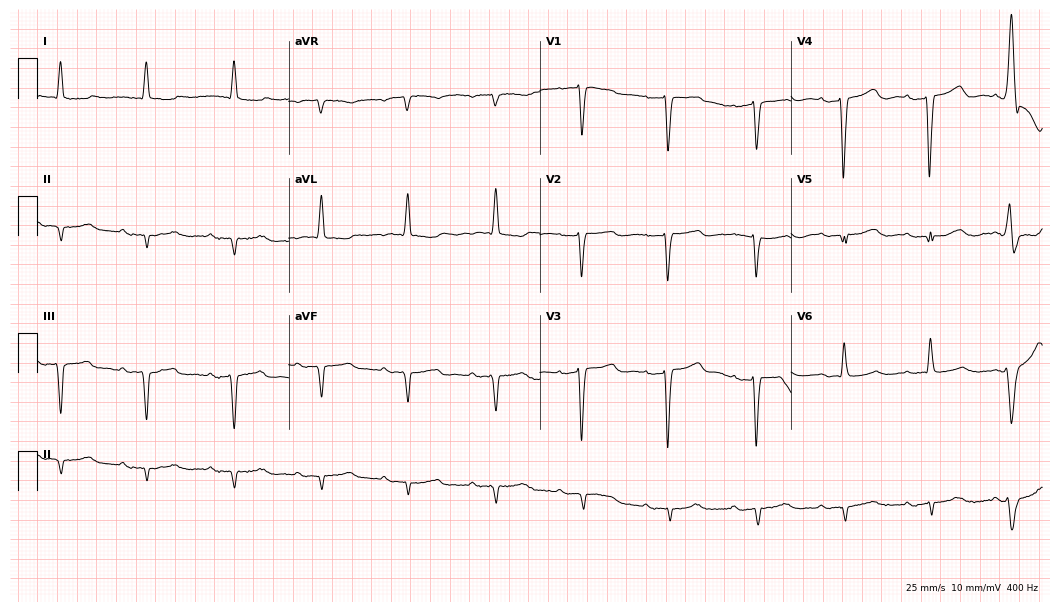
Resting 12-lead electrocardiogram (10.2-second recording at 400 Hz). Patient: a female, 83 years old. The tracing shows first-degree AV block.